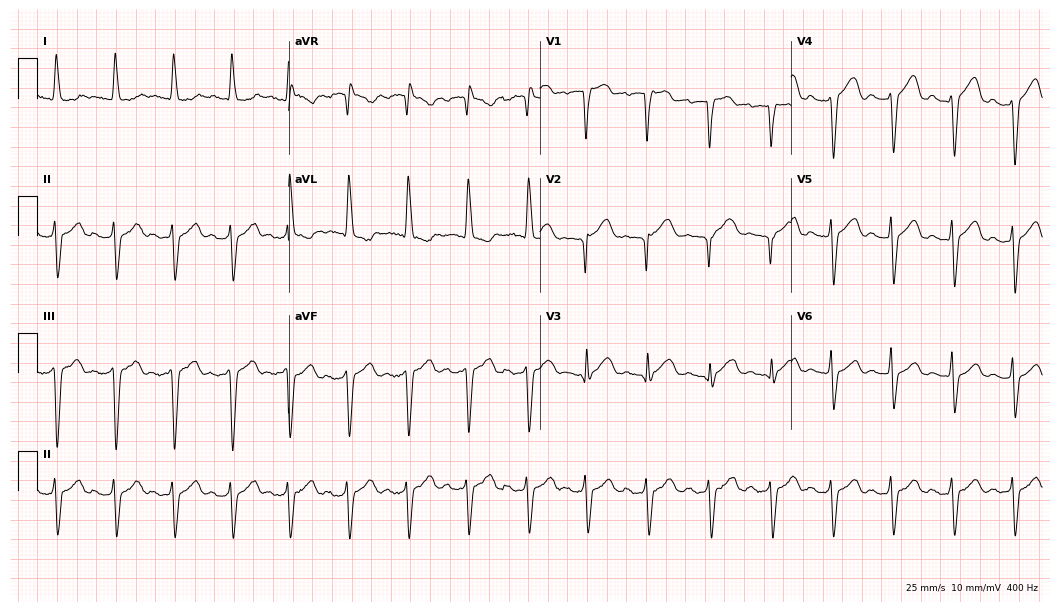
ECG (10.2-second recording at 400 Hz) — a man, 76 years old. Findings include first-degree AV block.